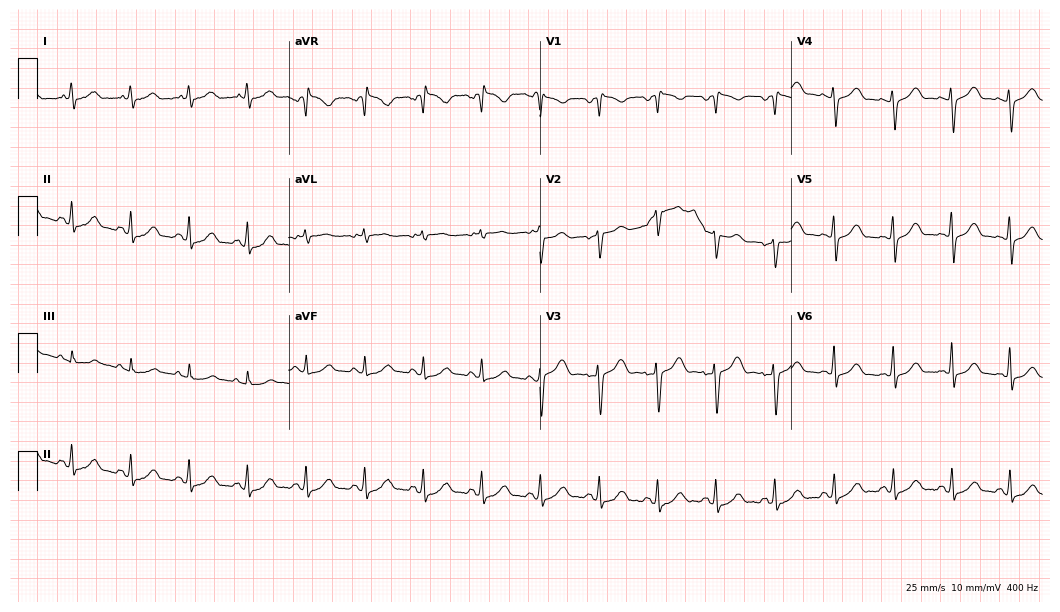
Electrocardiogram (10.2-second recording at 400 Hz), a female, 34 years old. Interpretation includes sinus tachycardia (a sinus rate of 100 beats per minute or more).